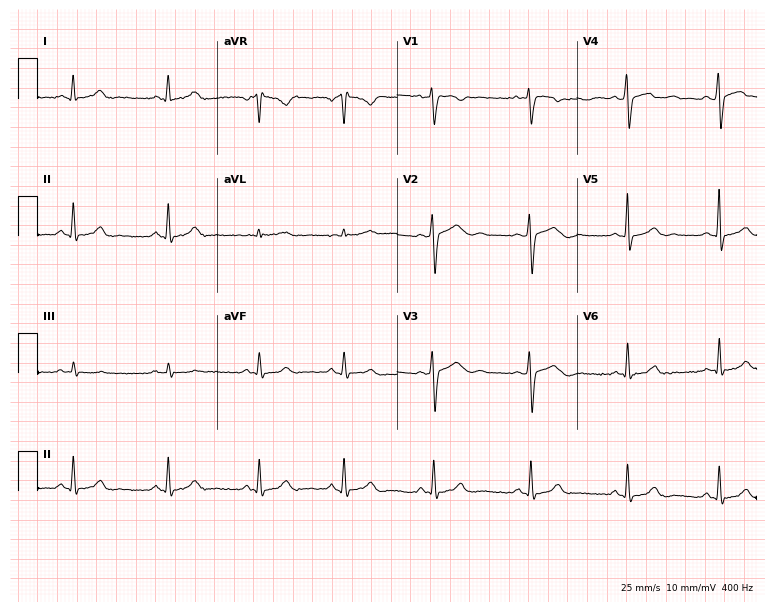
ECG — a 22-year-old female patient. Screened for six findings — first-degree AV block, right bundle branch block (RBBB), left bundle branch block (LBBB), sinus bradycardia, atrial fibrillation (AF), sinus tachycardia — none is recorded. Other findings, if any, are not listed.